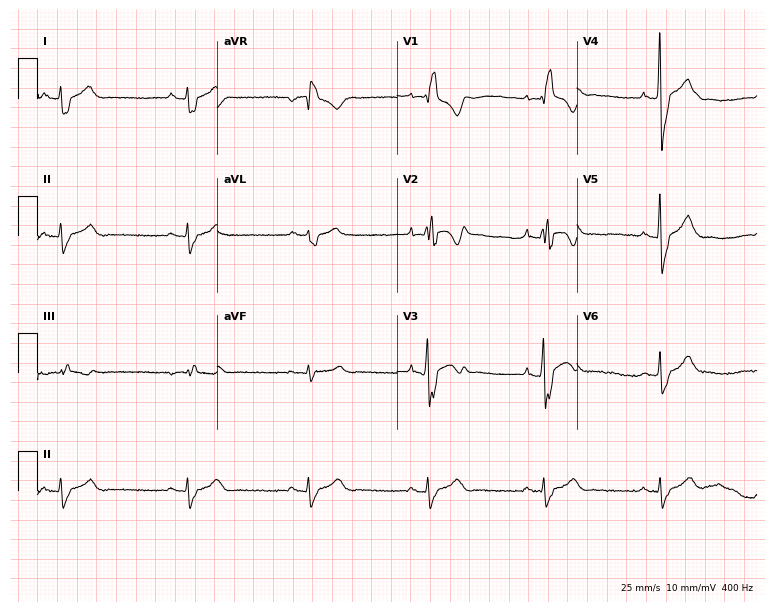
12-lead ECG from a male patient, 36 years old. Findings include right bundle branch block.